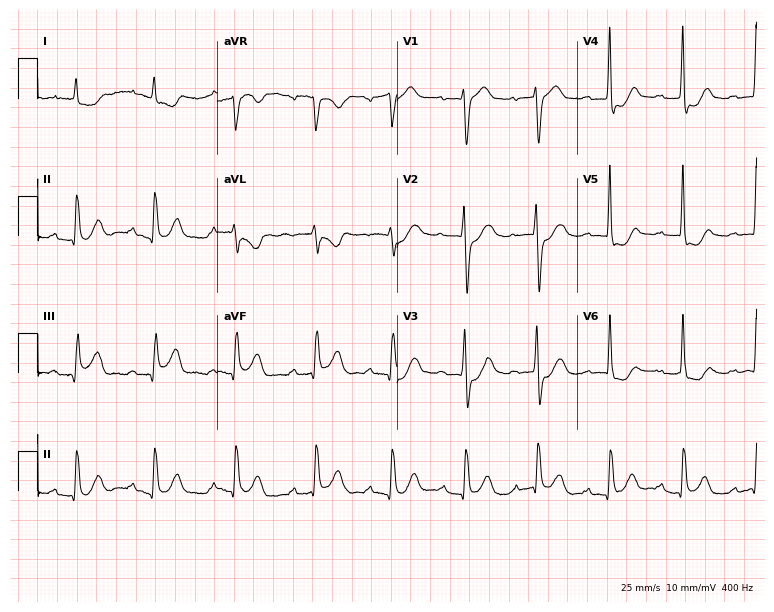
Resting 12-lead electrocardiogram (7.3-second recording at 400 Hz). Patient: a man, 58 years old. The tracing shows first-degree AV block.